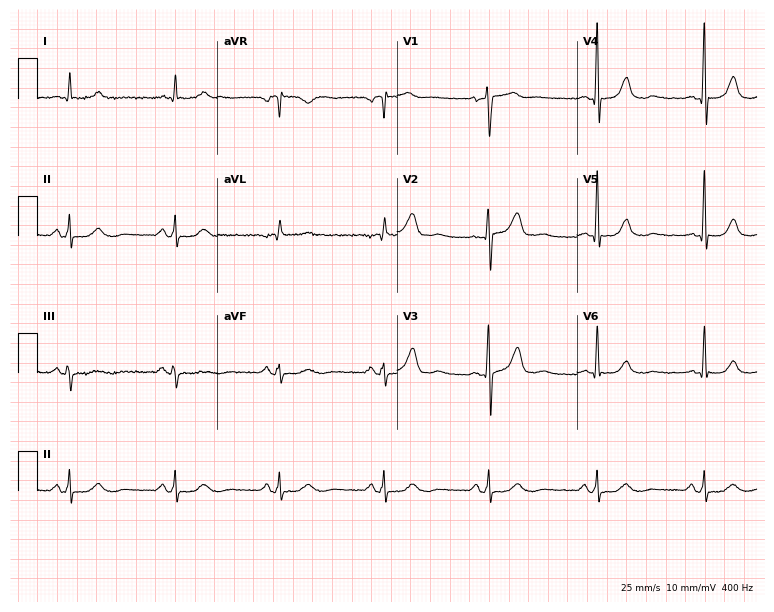
Resting 12-lead electrocardiogram. Patient: a male, 56 years old. None of these six findings is recorded: first-degree AV block, right bundle branch block, left bundle branch block, sinus bradycardia, atrial fibrillation, sinus tachycardia. Findings outside these six are not listed.